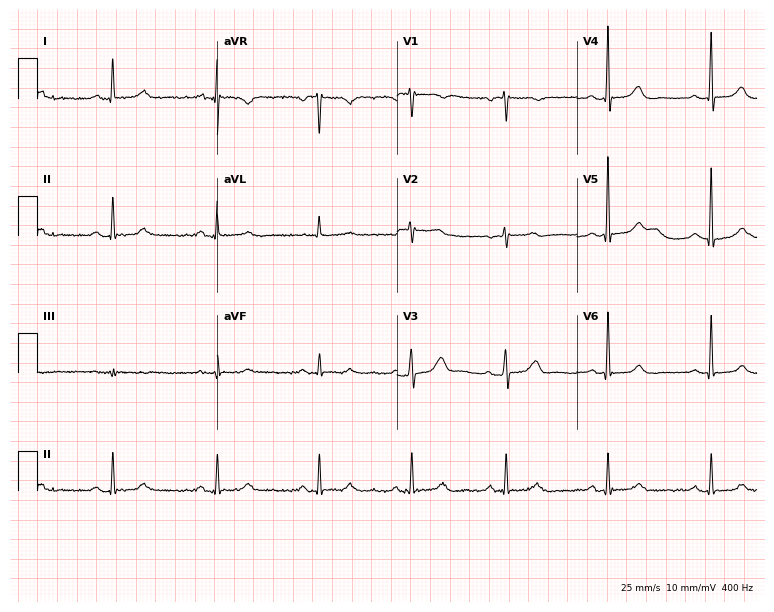
ECG (7.3-second recording at 400 Hz) — a woman, 69 years old. Labelled as a normal ECG.